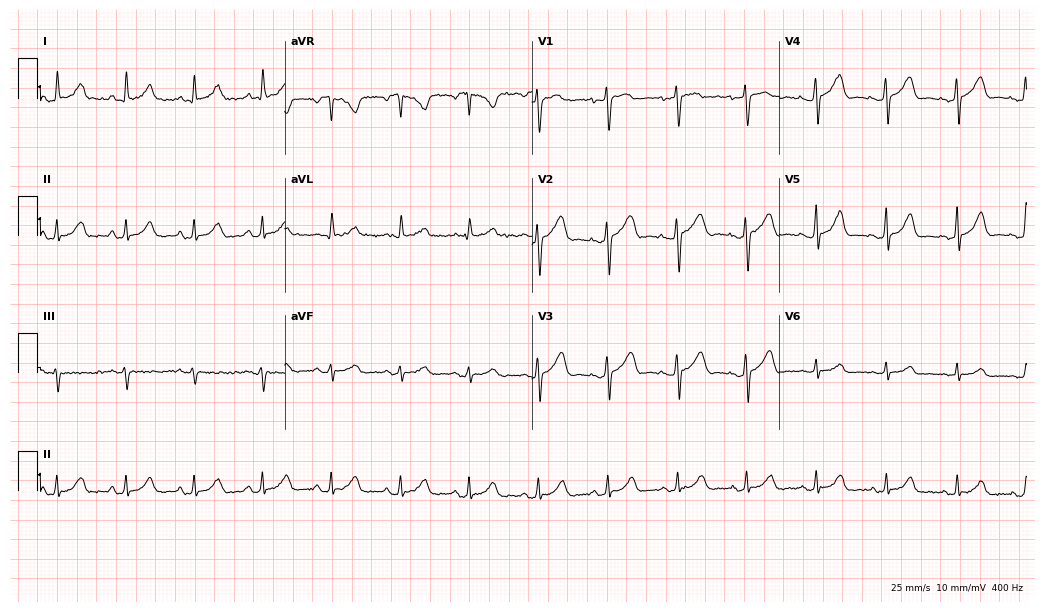
Standard 12-lead ECG recorded from a woman, 38 years old. Read as a normal ECG.